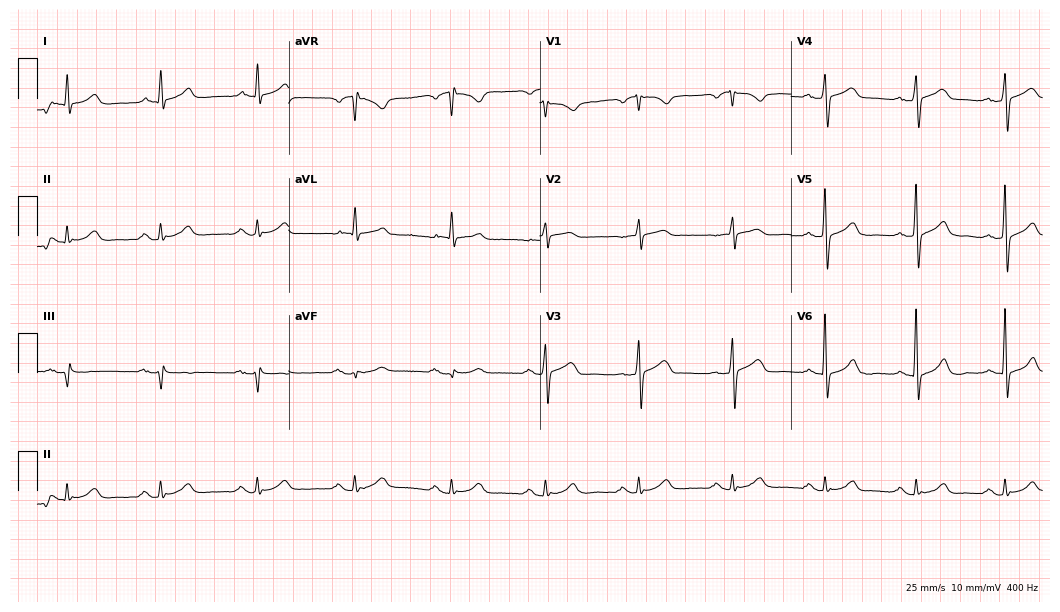
ECG (10.2-second recording at 400 Hz) — a 71-year-old male. Labelled as a normal ECG.